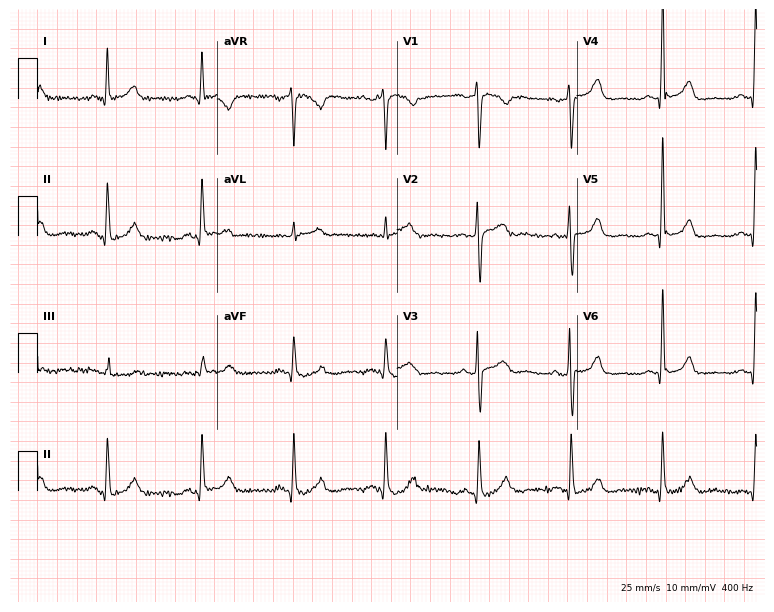
Standard 12-lead ECG recorded from a male, 47 years old. Read as a normal ECG.